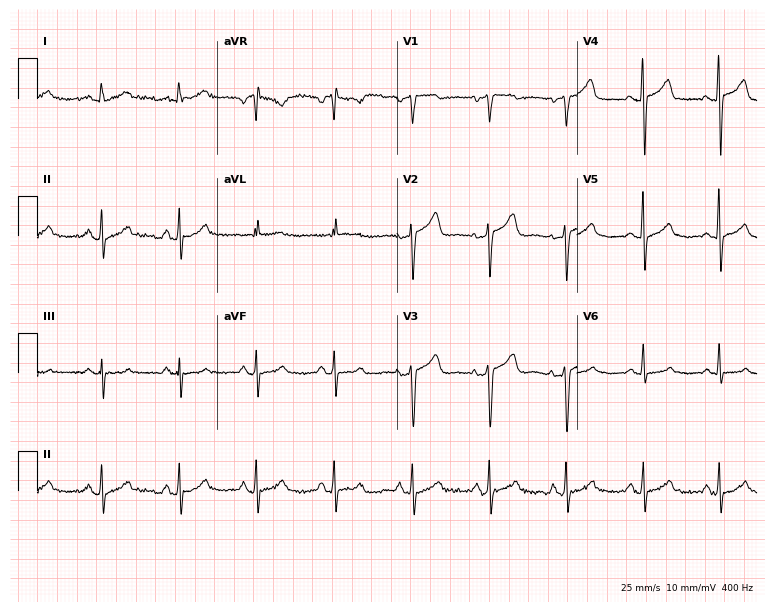
12-lead ECG from a female patient, 70 years old. Recorded interpretation: within normal limits.